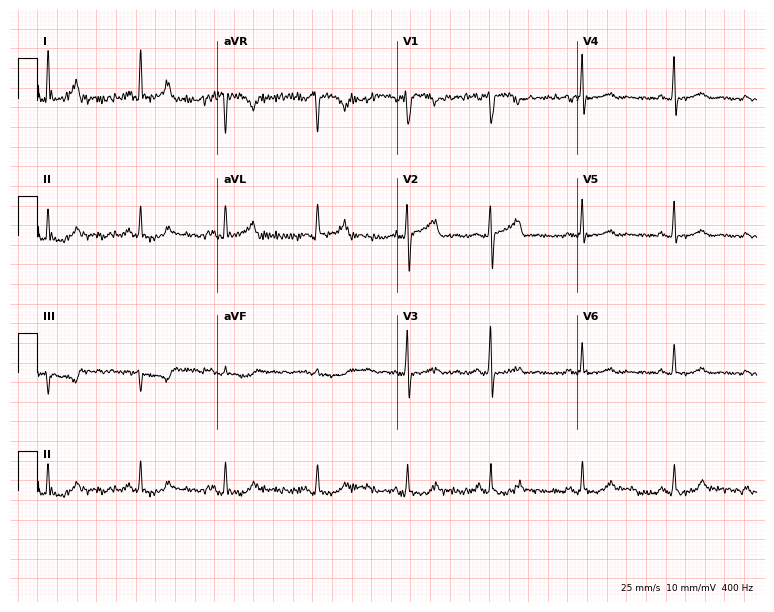
12-lead ECG from a 47-year-old female. Recorded interpretation: within normal limits.